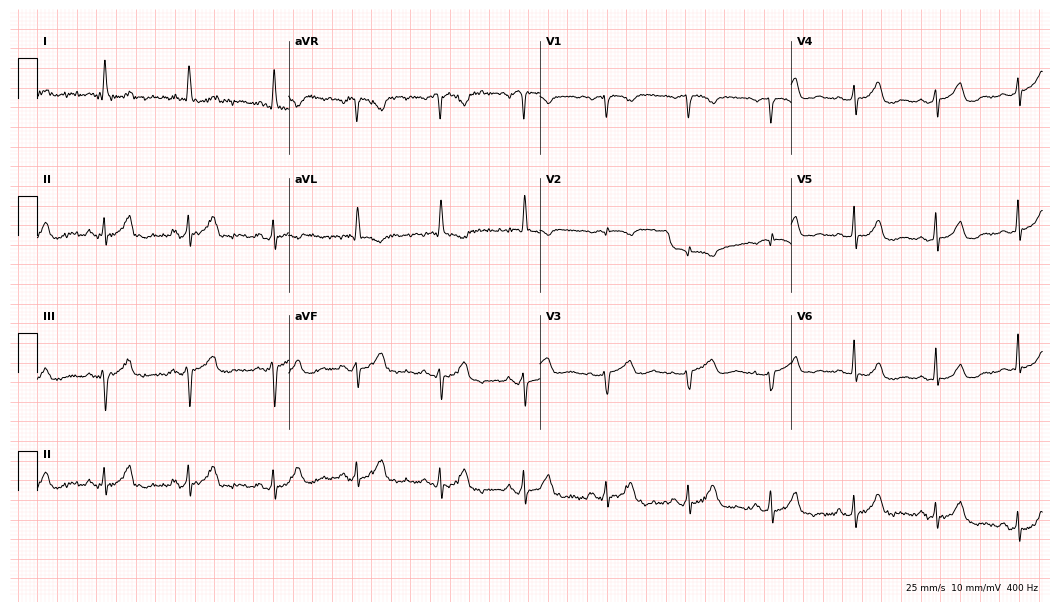
Resting 12-lead electrocardiogram (10.2-second recording at 400 Hz). Patient: a female, 62 years old. None of these six findings is recorded: first-degree AV block, right bundle branch block, left bundle branch block, sinus bradycardia, atrial fibrillation, sinus tachycardia.